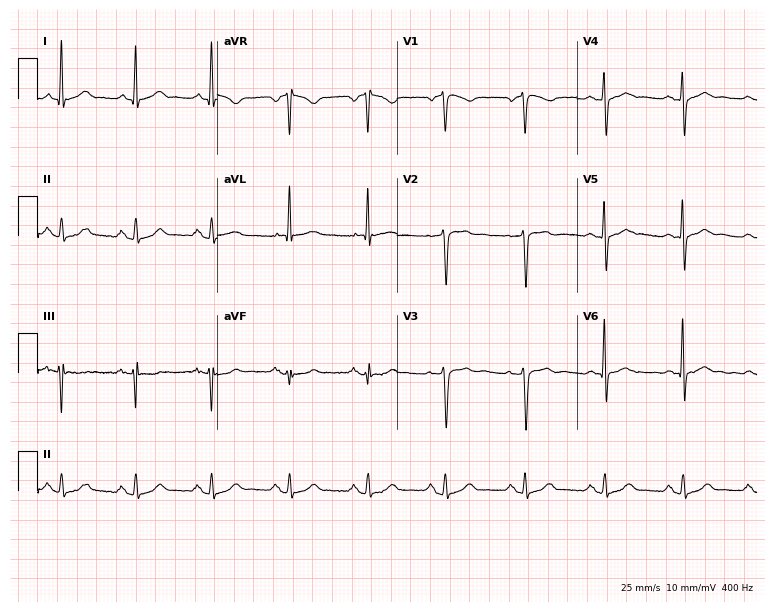
12-lead ECG from a male patient, 64 years old (7.3-second recording at 400 Hz). Recorded interpretation: within normal limits.